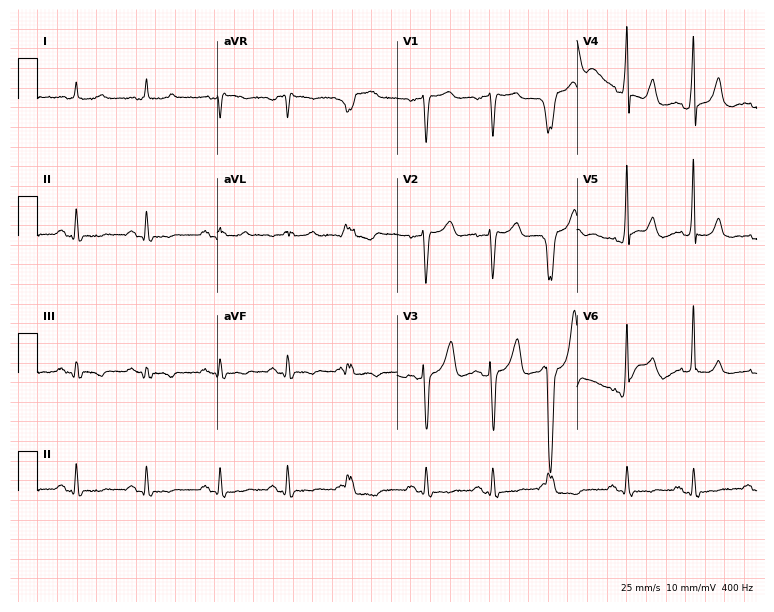
Standard 12-lead ECG recorded from a 58-year-old female. None of these six findings is recorded: first-degree AV block, right bundle branch block, left bundle branch block, sinus bradycardia, atrial fibrillation, sinus tachycardia. Other findings, if any, are not listed.